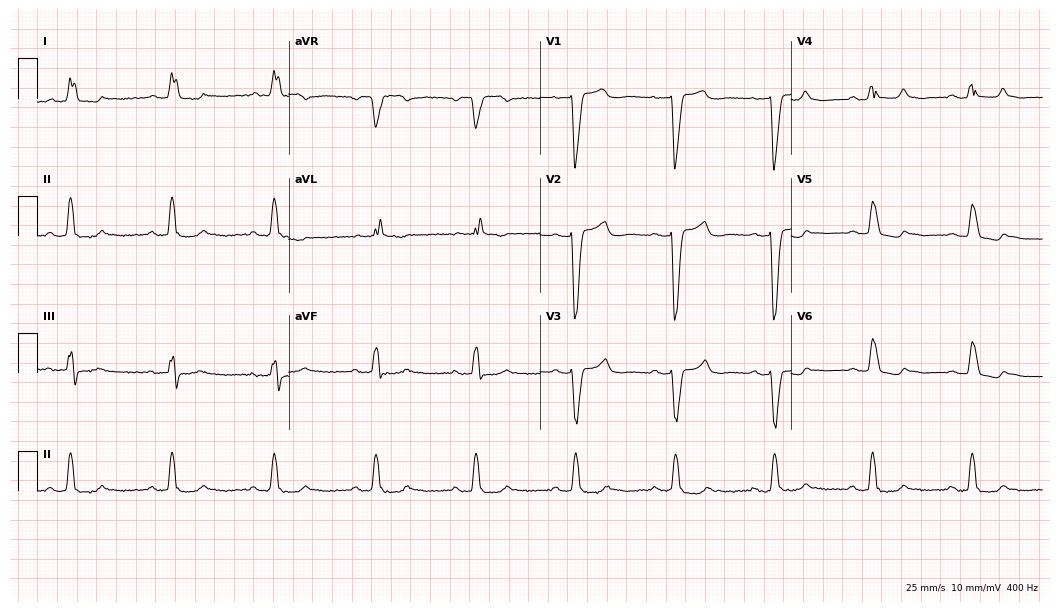
Electrocardiogram, a female, 73 years old. Interpretation includes left bundle branch block.